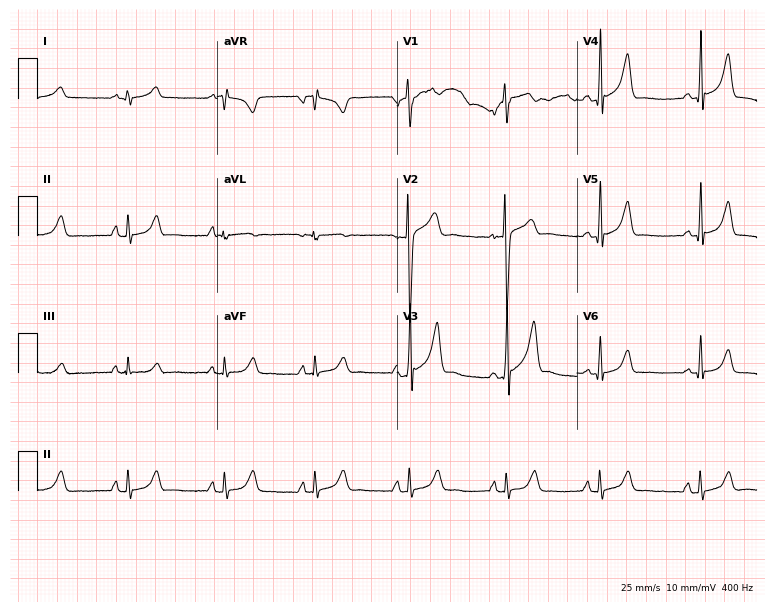
12-lead ECG from a man, 28 years old. Recorded interpretation: within normal limits.